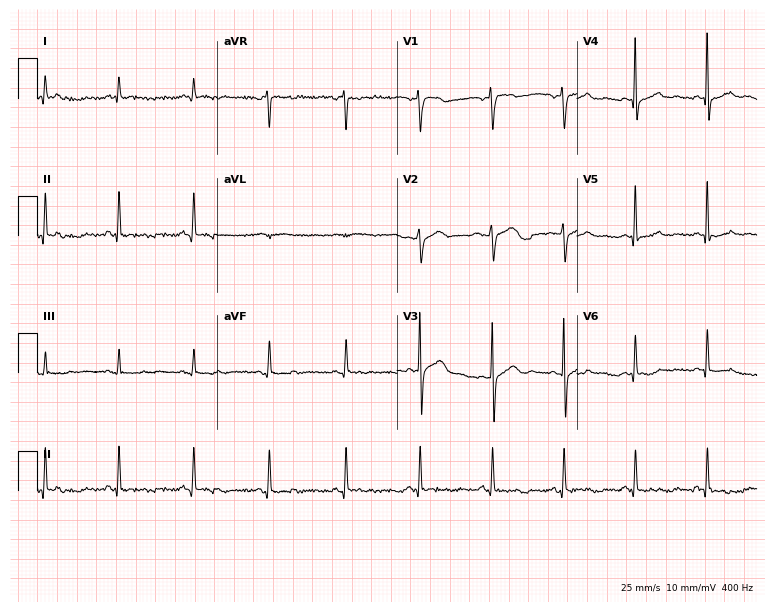
Standard 12-lead ECG recorded from a 54-year-old male patient (7.3-second recording at 400 Hz). None of these six findings is recorded: first-degree AV block, right bundle branch block, left bundle branch block, sinus bradycardia, atrial fibrillation, sinus tachycardia. Only these six findings were labelled.